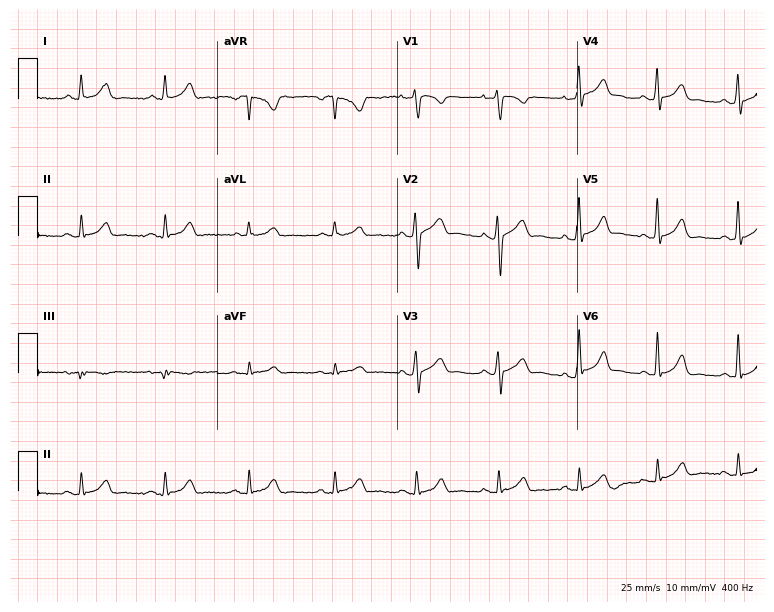
Standard 12-lead ECG recorded from a male patient, 37 years old. None of these six findings is recorded: first-degree AV block, right bundle branch block (RBBB), left bundle branch block (LBBB), sinus bradycardia, atrial fibrillation (AF), sinus tachycardia.